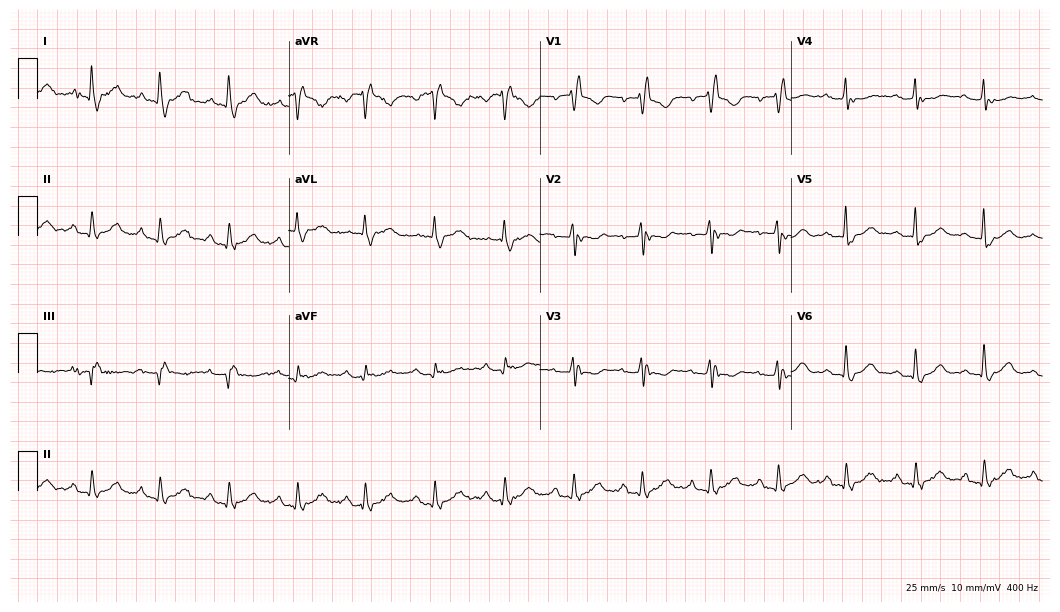
12-lead ECG (10.2-second recording at 400 Hz) from a woman, 65 years old. Findings include right bundle branch block.